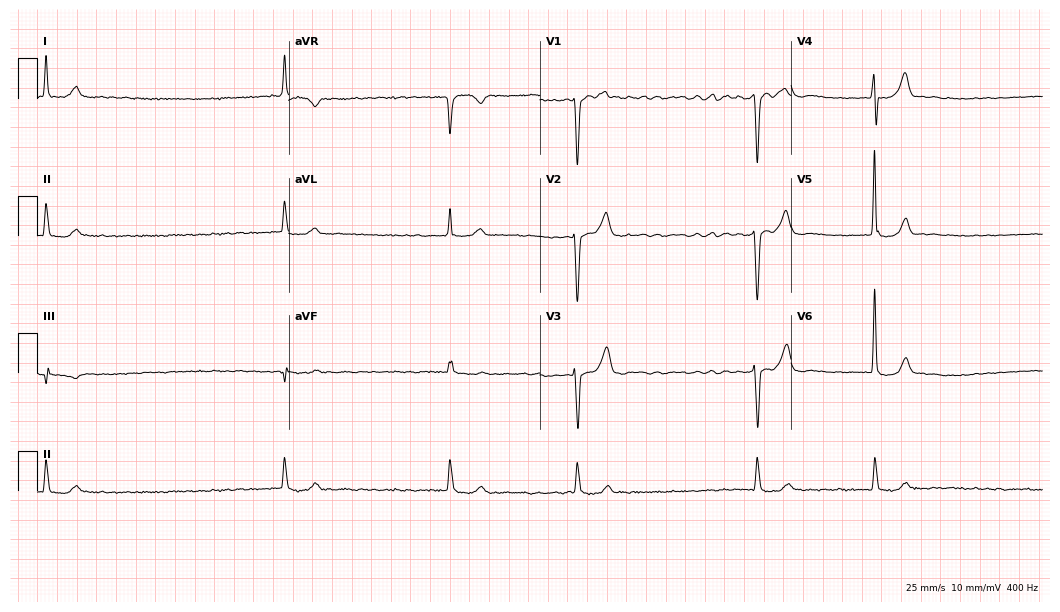
Standard 12-lead ECG recorded from a 73-year-old male. None of these six findings is recorded: first-degree AV block, right bundle branch block (RBBB), left bundle branch block (LBBB), sinus bradycardia, atrial fibrillation (AF), sinus tachycardia. Only these six findings were labelled.